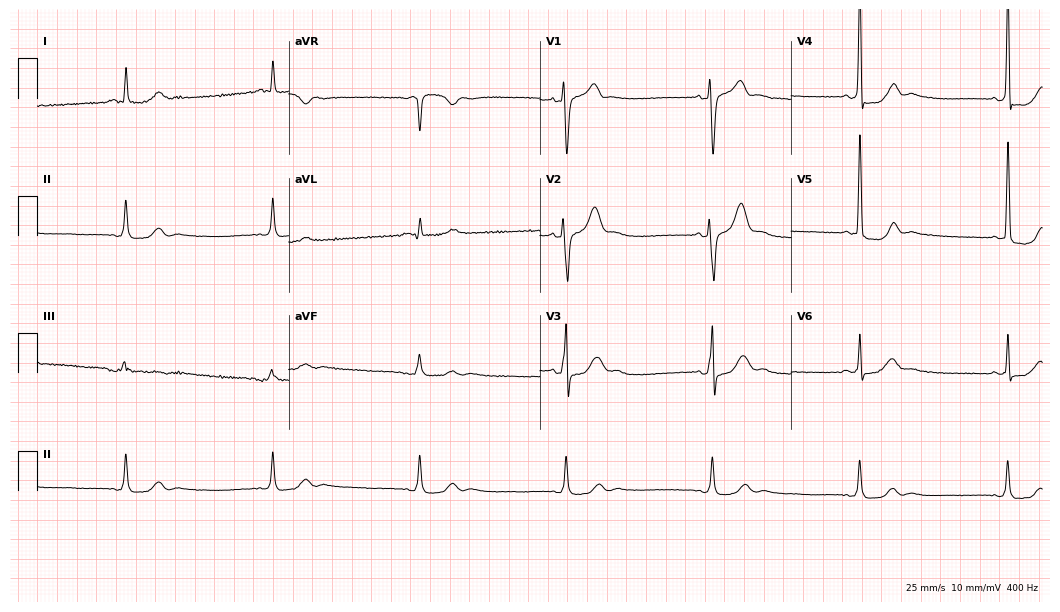
Resting 12-lead electrocardiogram. Patient: a 57-year-old male. None of these six findings is recorded: first-degree AV block, right bundle branch block, left bundle branch block, sinus bradycardia, atrial fibrillation, sinus tachycardia. Only these six findings were labelled.